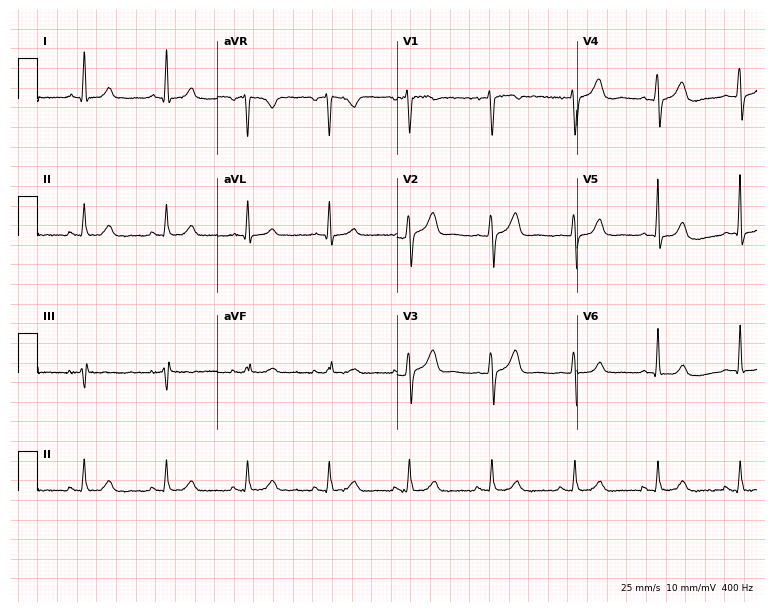
Electrocardiogram (7.3-second recording at 400 Hz), a 51-year-old woman. Of the six screened findings (first-degree AV block, right bundle branch block (RBBB), left bundle branch block (LBBB), sinus bradycardia, atrial fibrillation (AF), sinus tachycardia), none is recorded. Other findings, if any, are not listed.